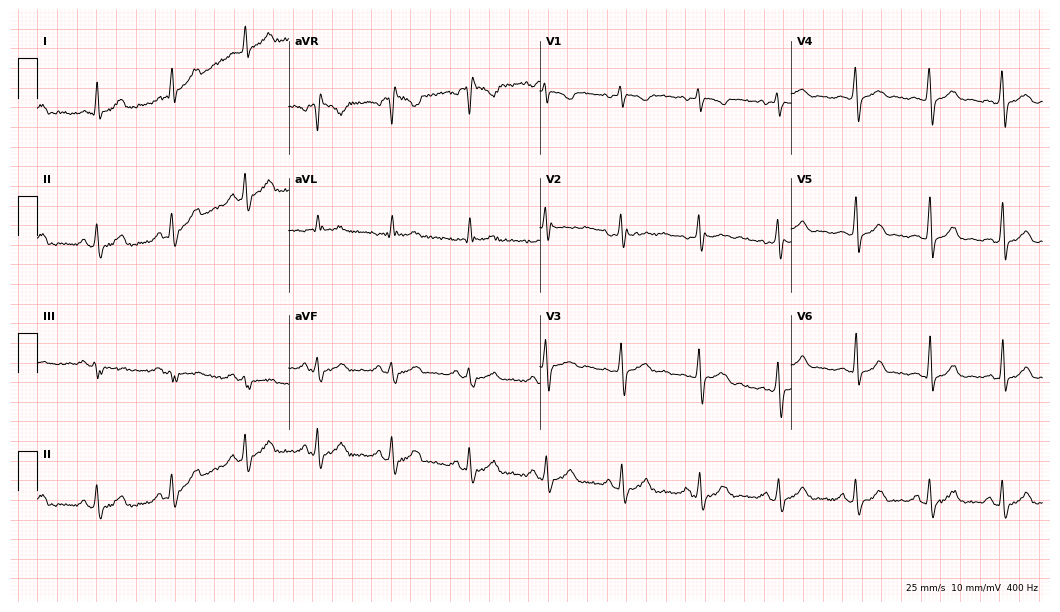
12-lead ECG (10.2-second recording at 400 Hz) from a man, 21 years old. Screened for six findings — first-degree AV block, right bundle branch block (RBBB), left bundle branch block (LBBB), sinus bradycardia, atrial fibrillation (AF), sinus tachycardia — none is recorded.